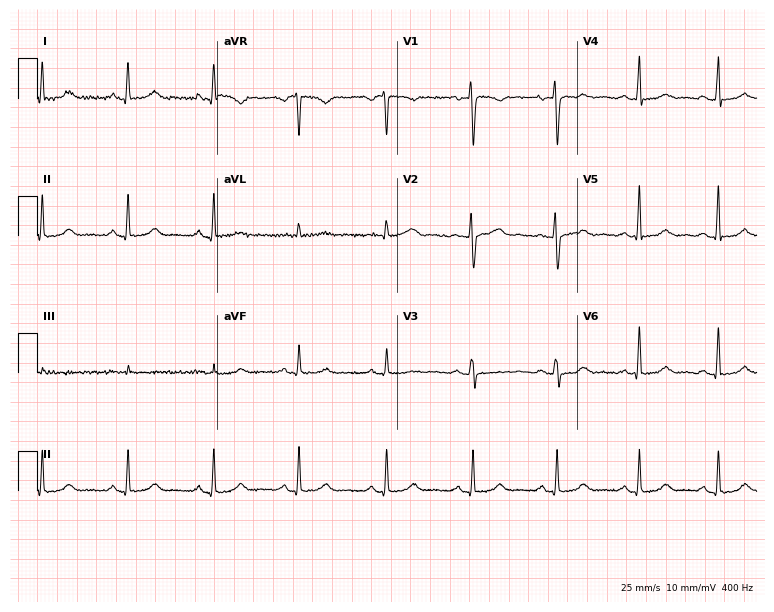
Electrocardiogram (7.3-second recording at 400 Hz), a female patient, 50 years old. Overall reading on record: normal ECG.